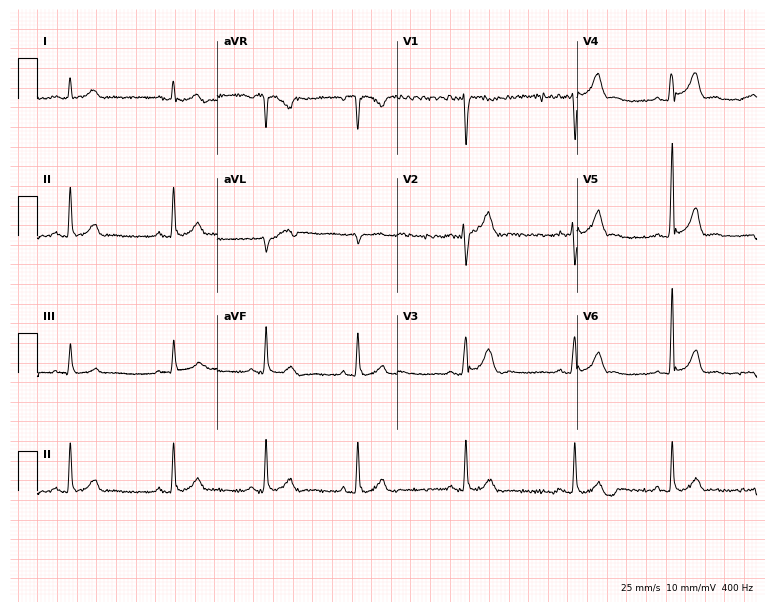
Electrocardiogram, a 34-year-old male. Of the six screened findings (first-degree AV block, right bundle branch block (RBBB), left bundle branch block (LBBB), sinus bradycardia, atrial fibrillation (AF), sinus tachycardia), none is recorded.